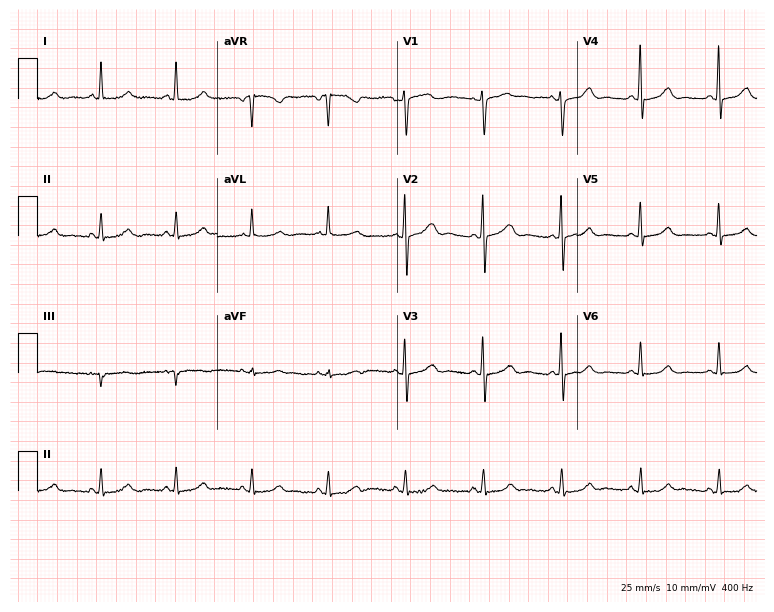
Electrocardiogram, a woman, 75 years old. Of the six screened findings (first-degree AV block, right bundle branch block, left bundle branch block, sinus bradycardia, atrial fibrillation, sinus tachycardia), none is recorded. Only these six findings were labelled.